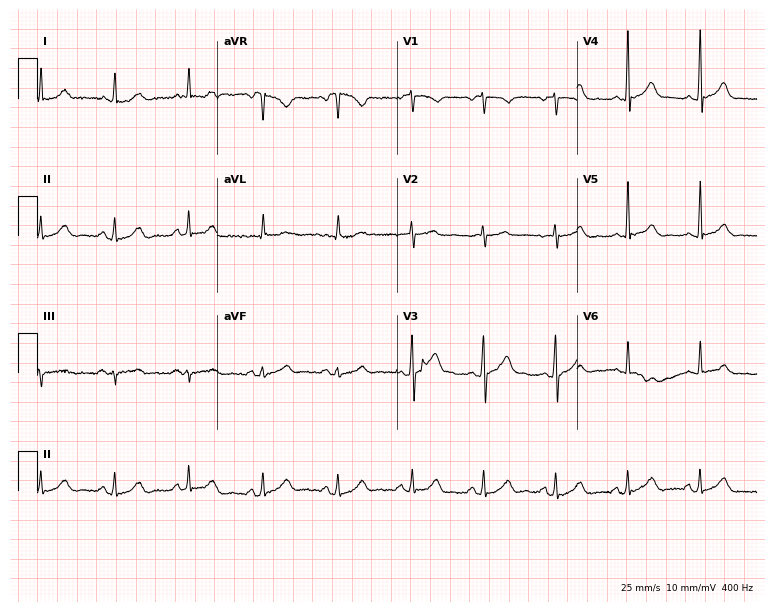
ECG — a 38-year-old man. Labelled as a normal ECG.